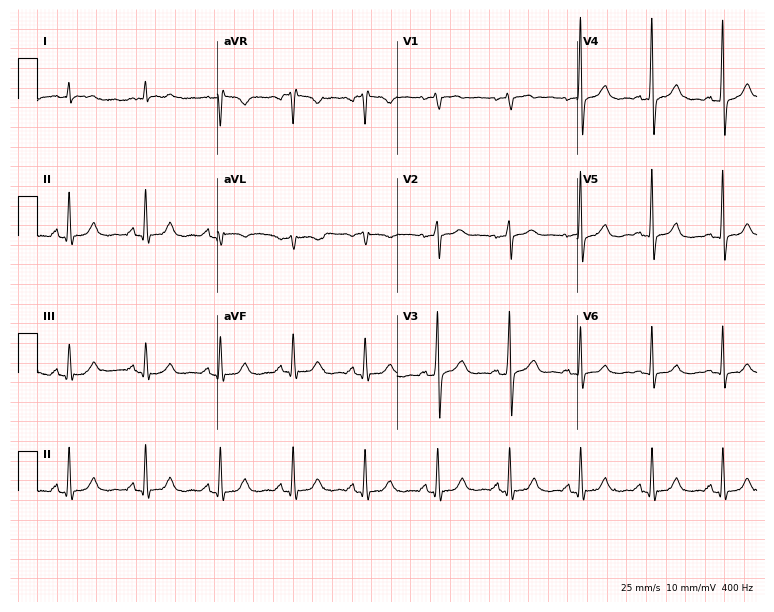
Electrocardiogram, a 70-year-old man. Overall reading on record: normal ECG.